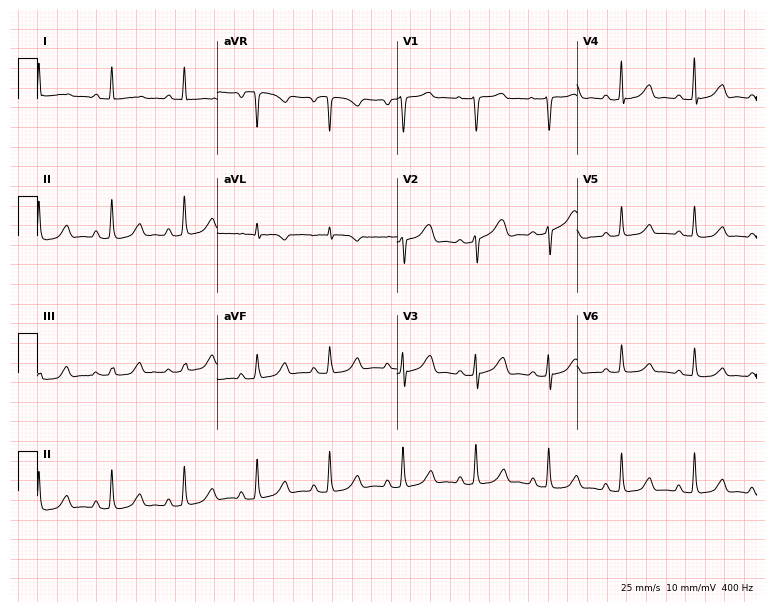
Standard 12-lead ECG recorded from a 62-year-old female (7.3-second recording at 400 Hz). None of these six findings is recorded: first-degree AV block, right bundle branch block, left bundle branch block, sinus bradycardia, atrial fibrillation, sinus tachycardia.